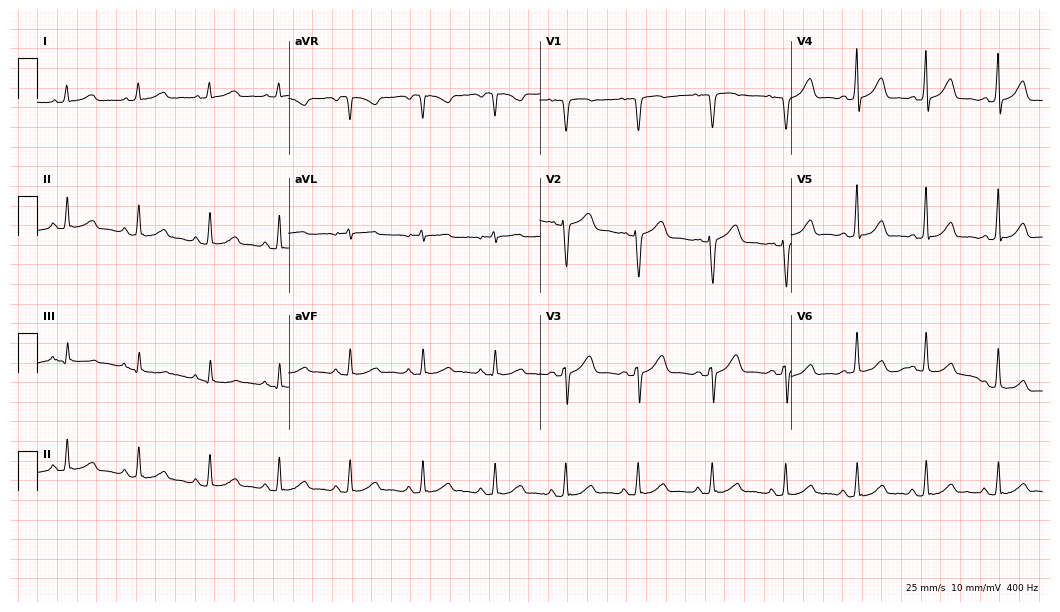
Electrocardiogram (10.2-second recording at 400 Hz), a 66-year-old female. Overall reading on record: normal ECG.